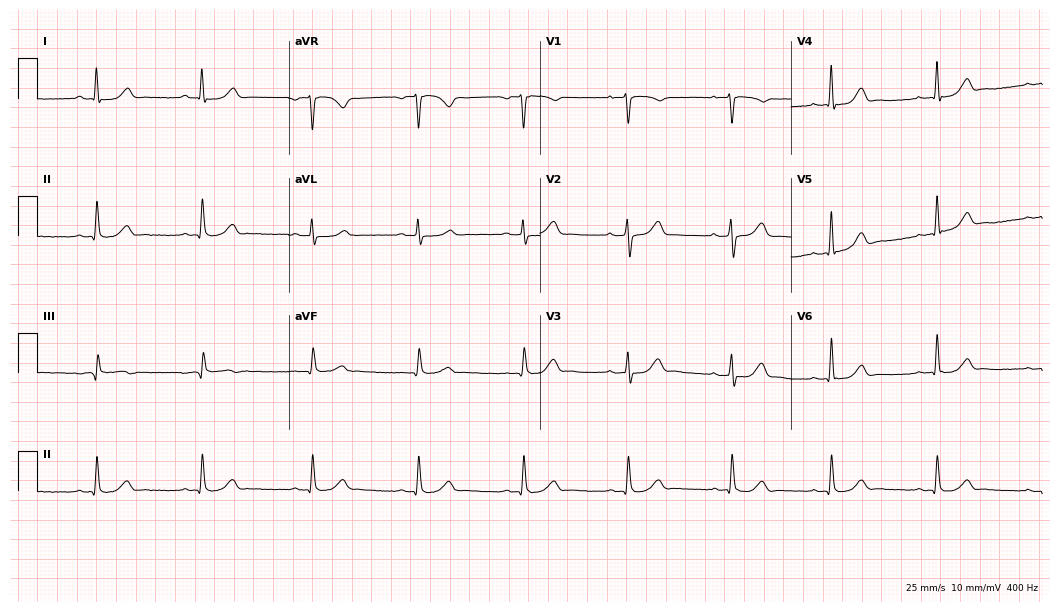
Standard 12-lead ECG recorded from a 48-year-old male patient. Read as a normal ECG.